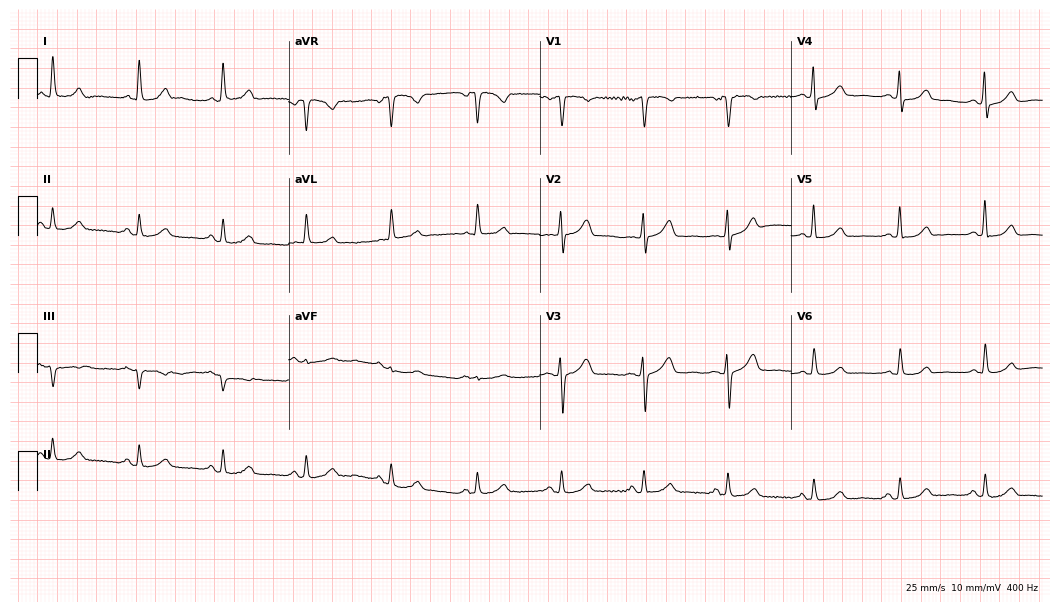
12-lead ECG (10.2-second recording at 400 Hz) from a 67-year-old female patient. Labelled as a normal ECG.